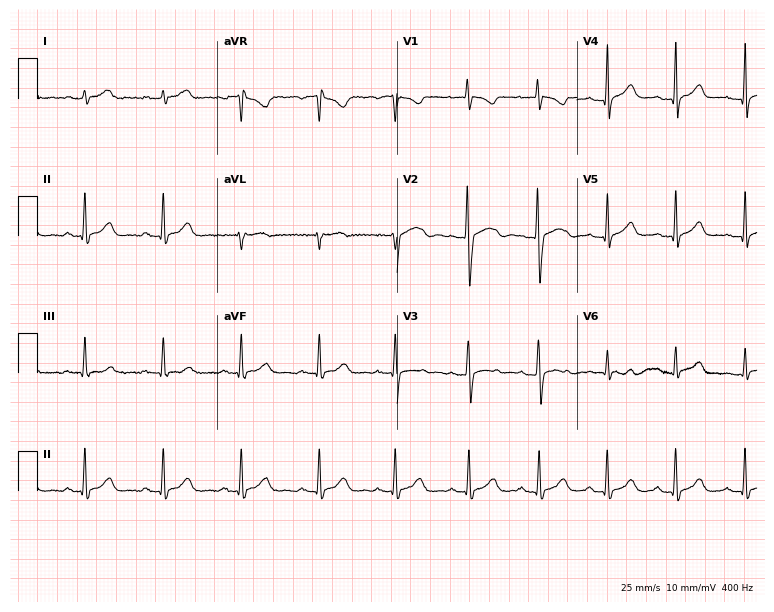
12-lead ECG from a 21-year-old female. Recorded interpretation: within normal limits.